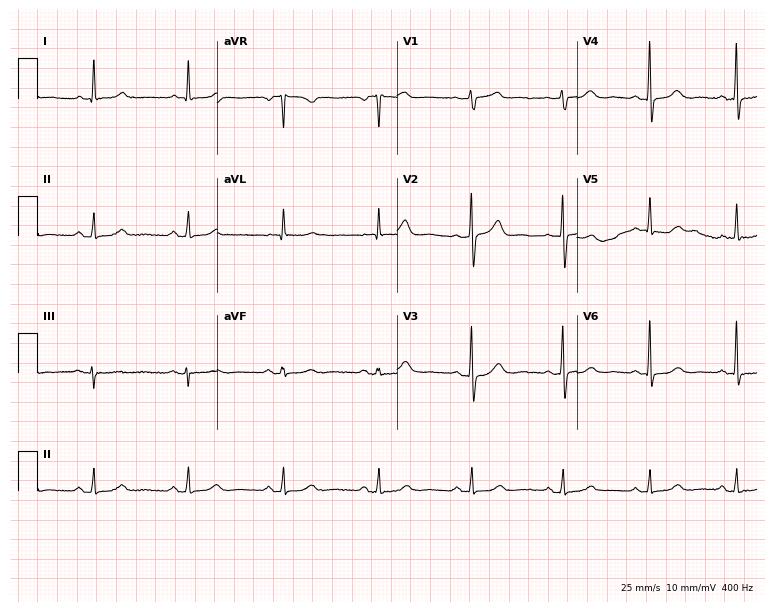
ECG (7.3-second recording at 400 Hz) — an 81-year-old man. Labelled as a normal ECG.